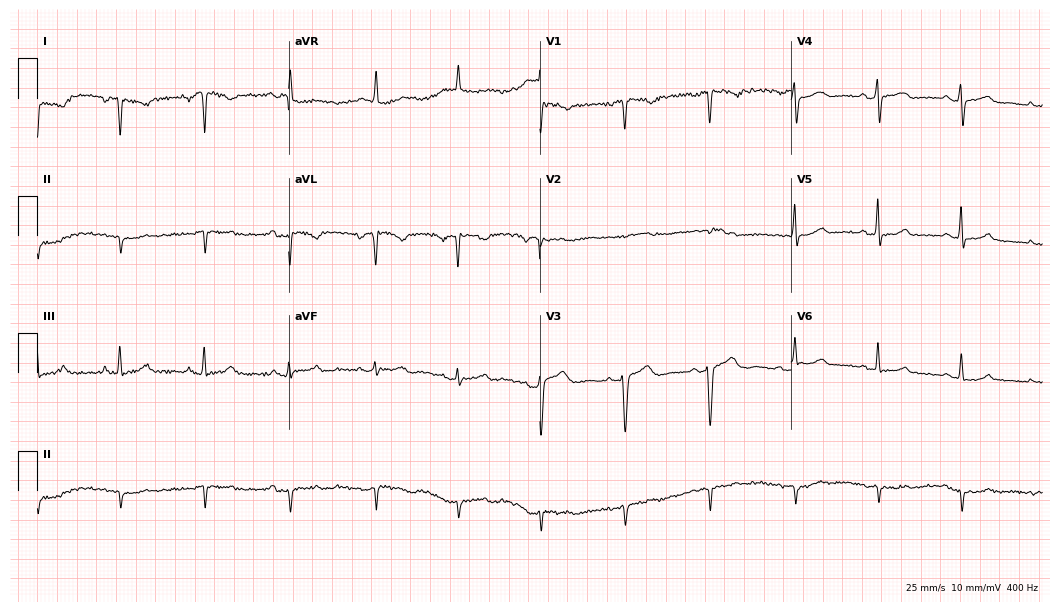
12-lead ECG from a female patient, 47 years old (10.2-second recording at 400 Hz). No first-degree AV block, right bundle branch block (RBBB), left bundle branch block (LBBB), sinus bradycardia, atrial fibrillation (AF) or sinus tachycardia recorded for this tracing. Other findings, if any, are not listed.